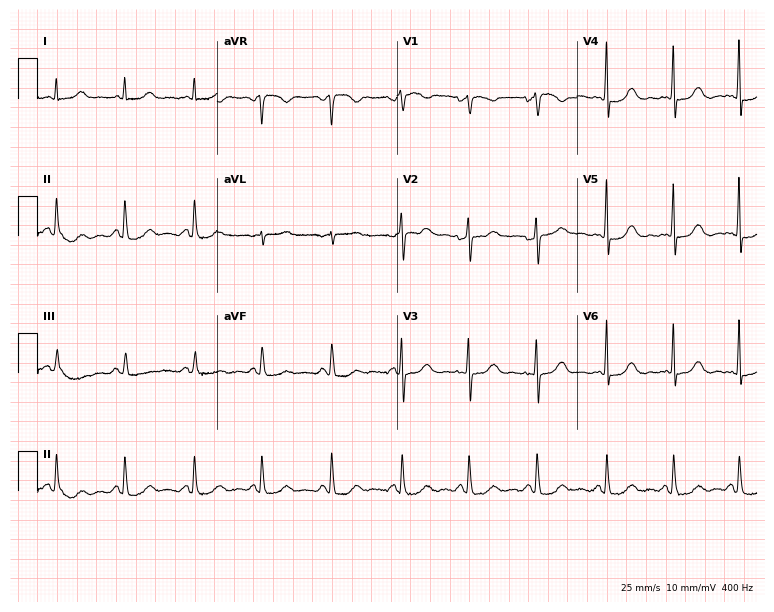
12-lead ECG from a female, 70 years old (7.3-second recording at 400 Hz). No first-degree AV block, right bundle branch block, left bundle branch block, sinus bradycardia, atrial fibrillation or sinus tachycardia recorded for this tracing.